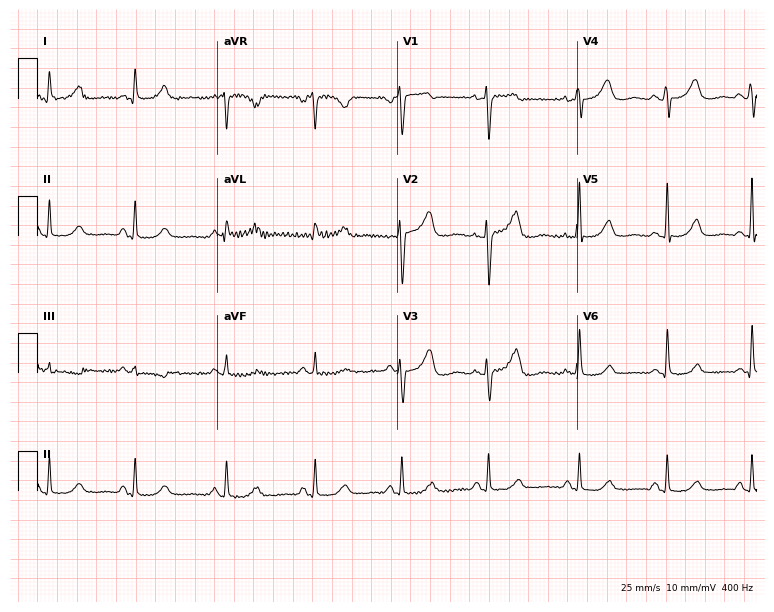
Resting 12-lead electrocardiogram. Patient: a female, 51 years old. None of these six findings is recorded: first-degree AV block, right bundle branch block, left bundle branch block, sinus bradycardia, atrial fibrillation, sinus tachycardia. Findings outside these six are not listed.